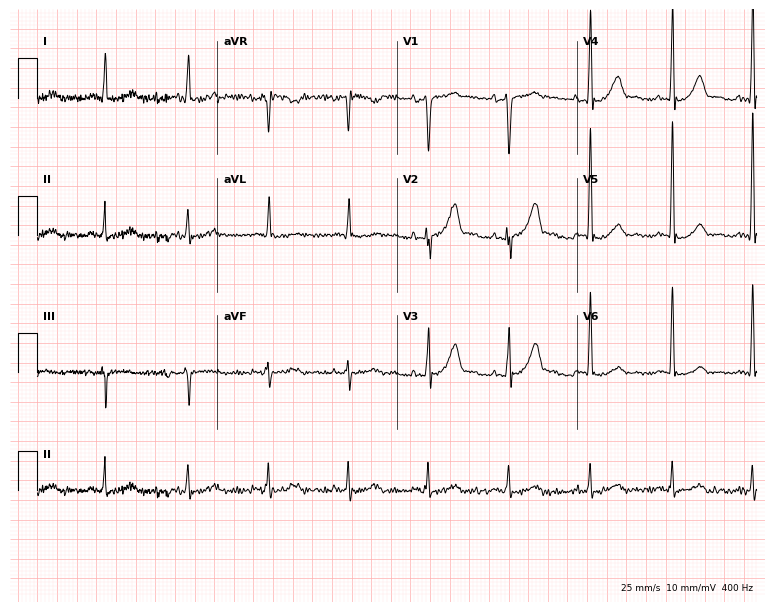
Resting 12-lead electrocardiogram (7.3-second recording at 400 Hz). Patient: a 62-year-old man. None of these six findings is recorded: first-degree AV block, right bundle branch block, left bundle branch block, sinus bradycardia, atrial fibrillation, sinus tachycardia.